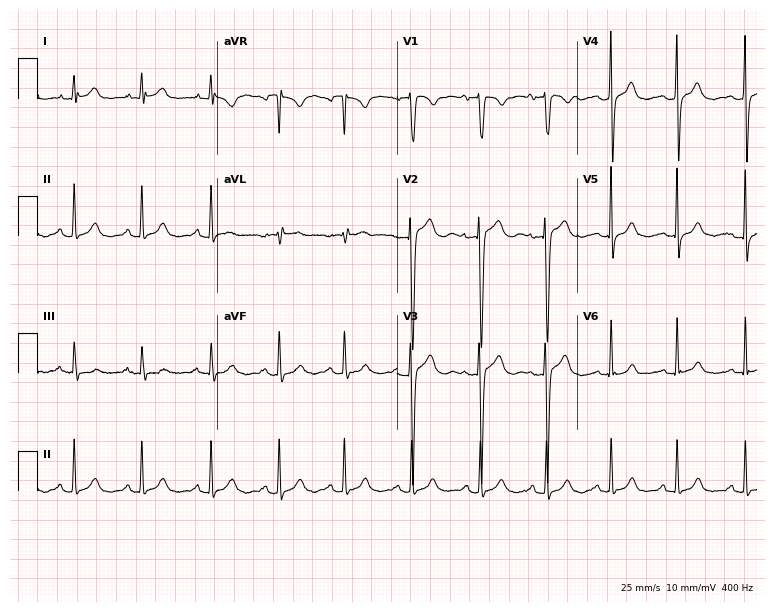
12-lead ECG (7.3-second recording at 400 Hz) from a 23-year-old male. Screened for six findings — first-degree AV block, right bundle branch block, left bundle branch block, sinus bradycardia, atrial fibrillation, sinus tachycardia — none is recorded. Findings outside these six are not listed.